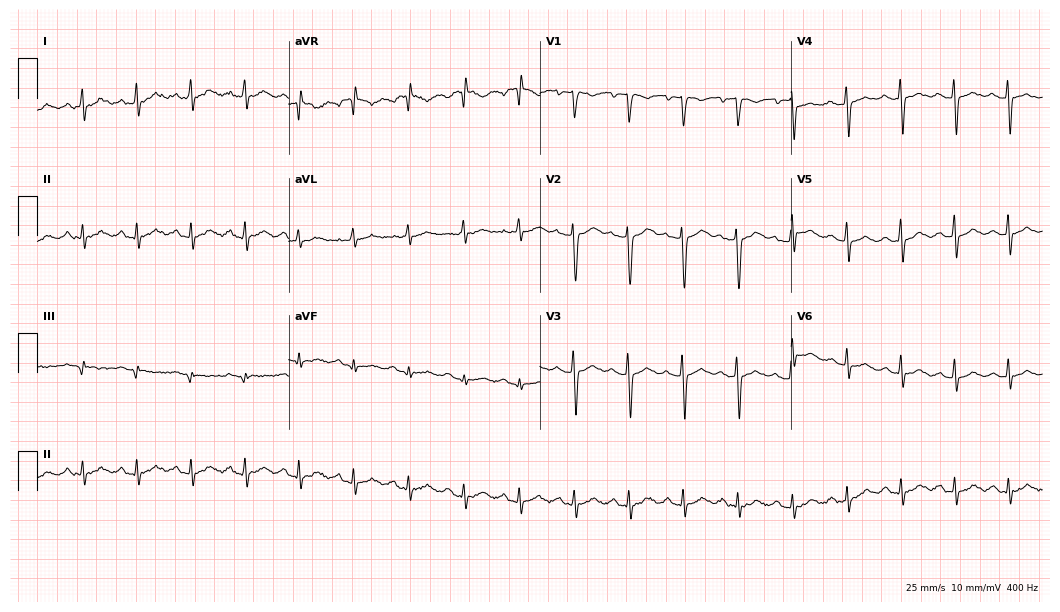
12-lead ECG from a 42-year-old female. Screened for six findings — first-degree AV block, right bundle branch block, left bundle branch block, sinus bradycardia, atrial fibrillation, sinus tachycardia — none is recorded.